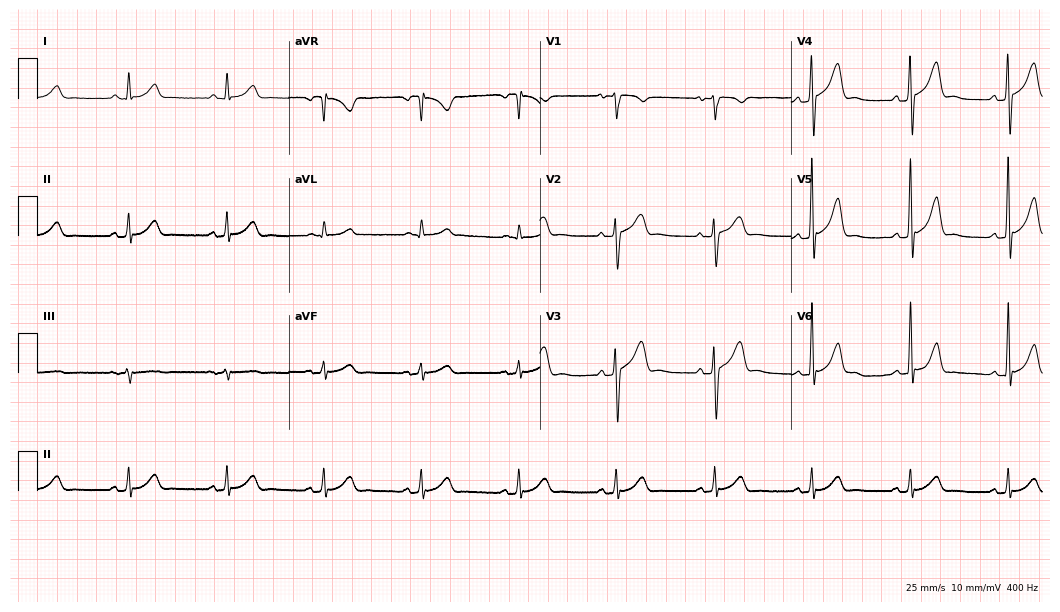
Standard 12-lead ECG recorded from a male patient, 65 years old (10.2-second recording at 400 Hz). Read as a normal ECG.